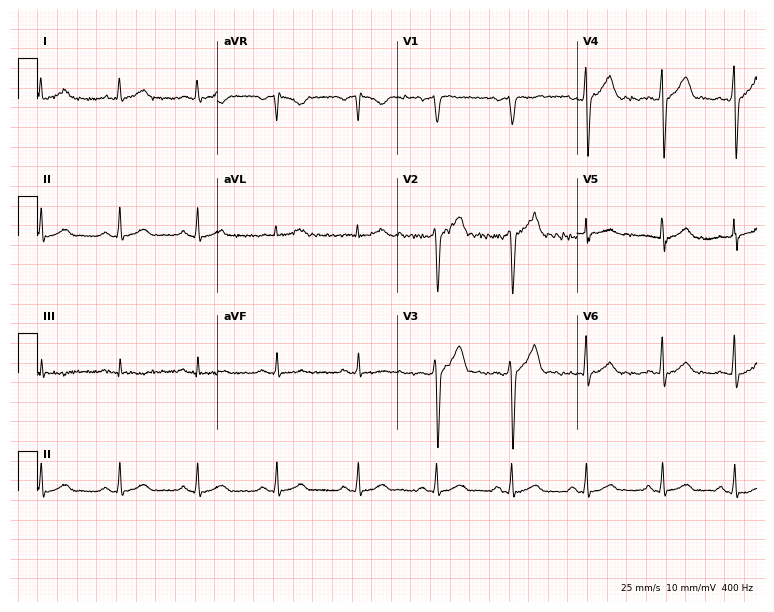
Standard 12-lead ECG recorded from a 53-year-old male (7.3-second recording at 400 Hz). Read as a normal ECG.